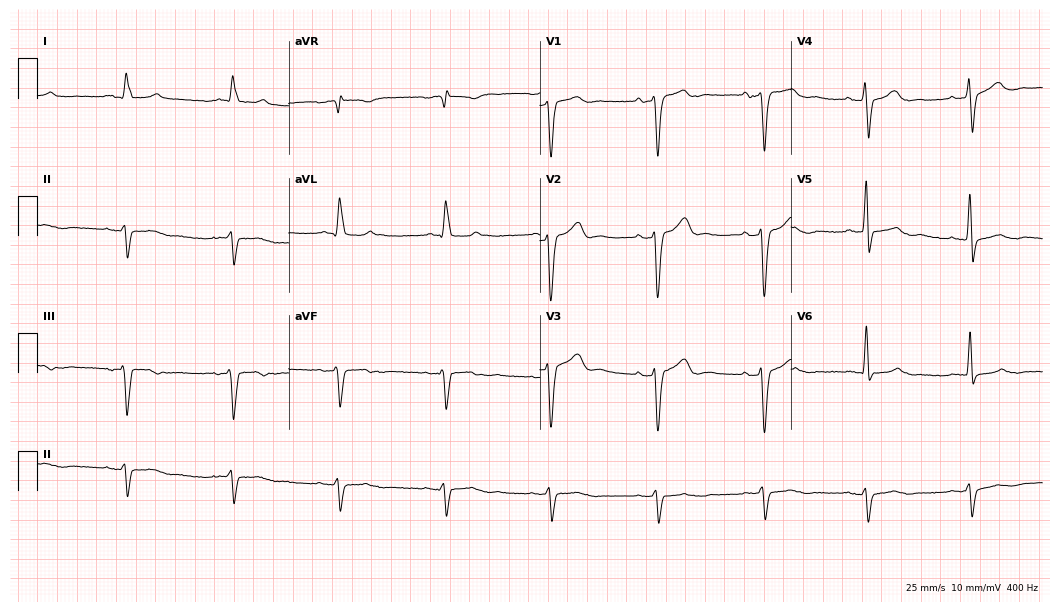
12-lead ECG from a 76-year-old male. Screened for six findings — first-degree AV block, right bundle branch block (RBBB), left bundle branch block (LBBB), sinus bradycardia, atrial fibrillation (AF), sinus tachycardia — none is recorded. Only these six findings were labelled.